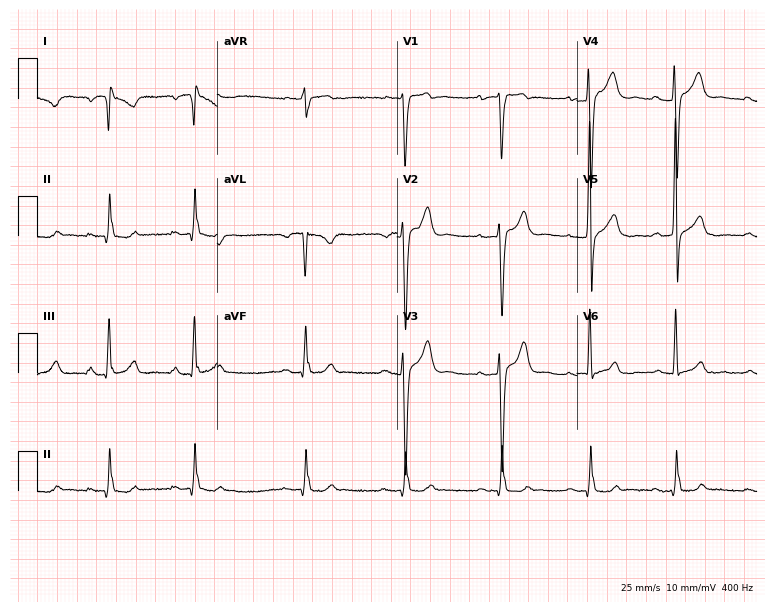
12-lead ECG (7.3-second recording at 400 Hz) from a man, 35 years old. Screened for six findings — first-degree AV block, right bundle branch block, left bundle branch block, sinus bradycardia, atrial fibrillation, sinus tachycardia — none is recorded.